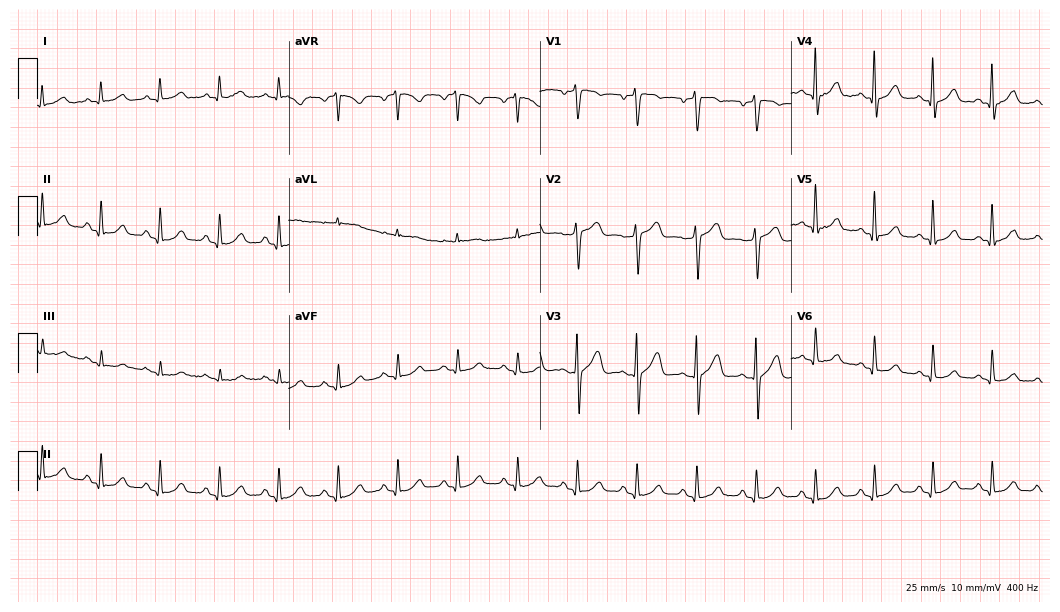
Electrocardiogram, a 70-year-old male patient. Overall reading on record: normal ECG.